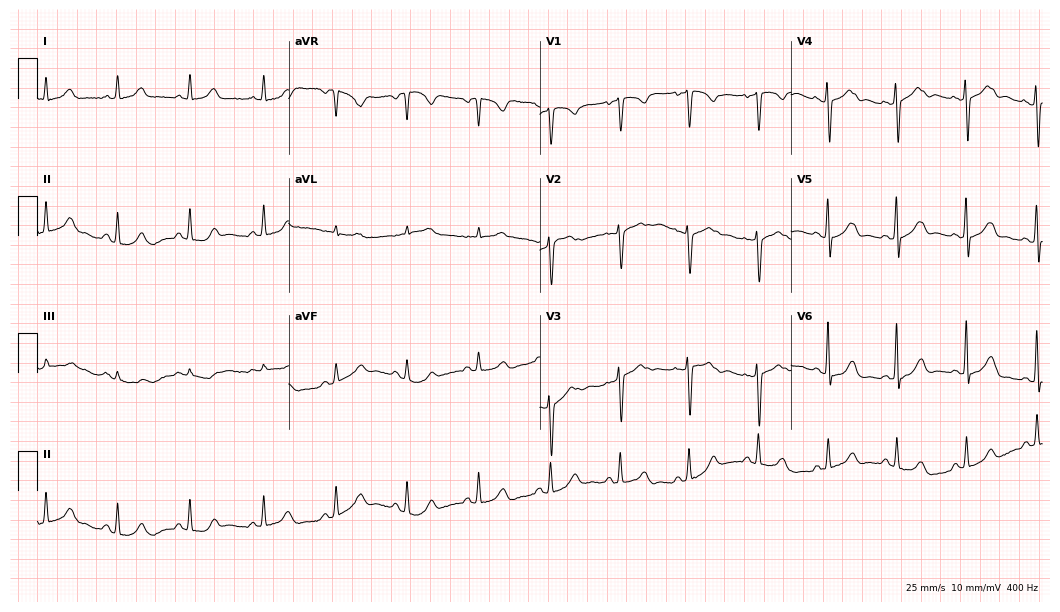
12-lead ECG from a female patient, 47 years old. Recorded interpretation: within normal limits.